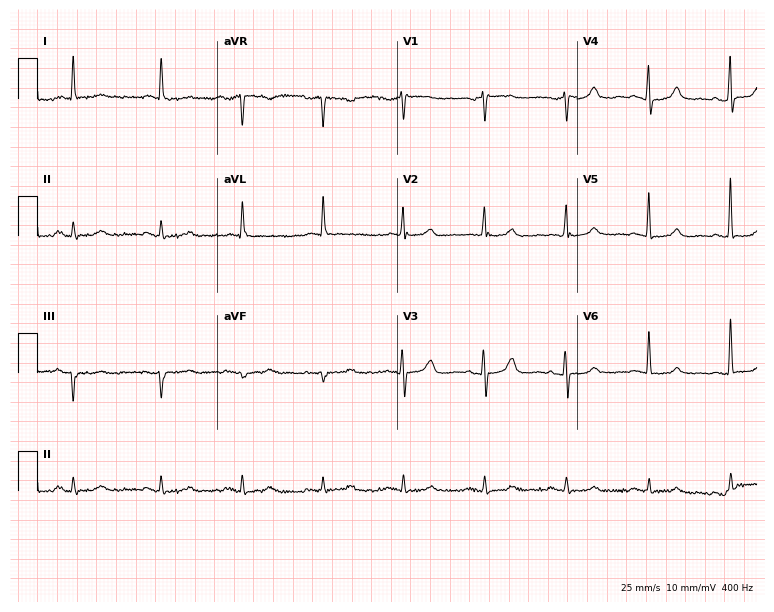
12-lead ECG from a female, 65 years old. Recorded interpretation: within normal limits.